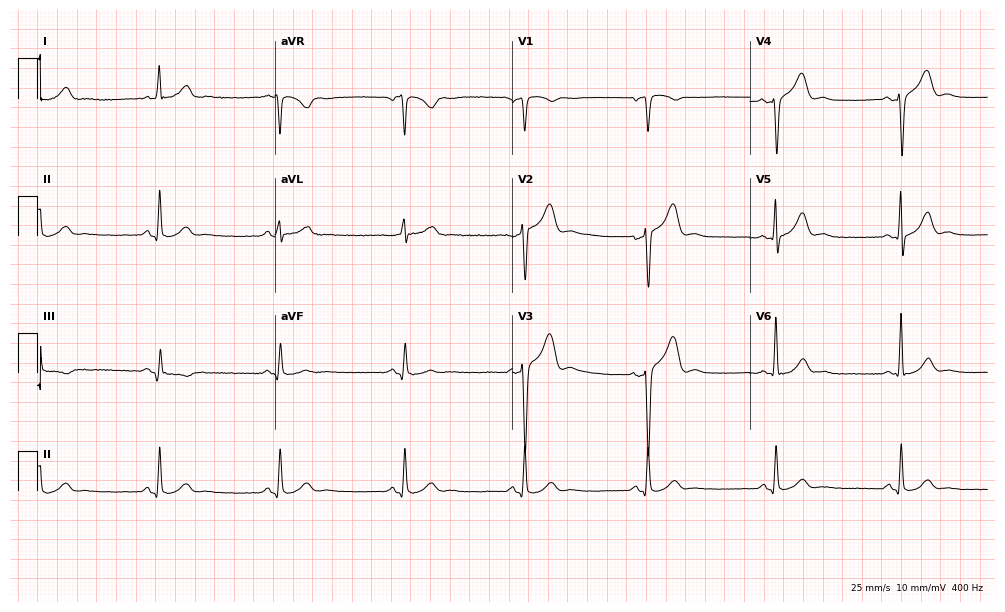
12-lead ECG from a female, 63 years old (9.7-second recording at 400 Hz). Shows sinus bradycardia (a sinus rate of 50 beats per minute or less).